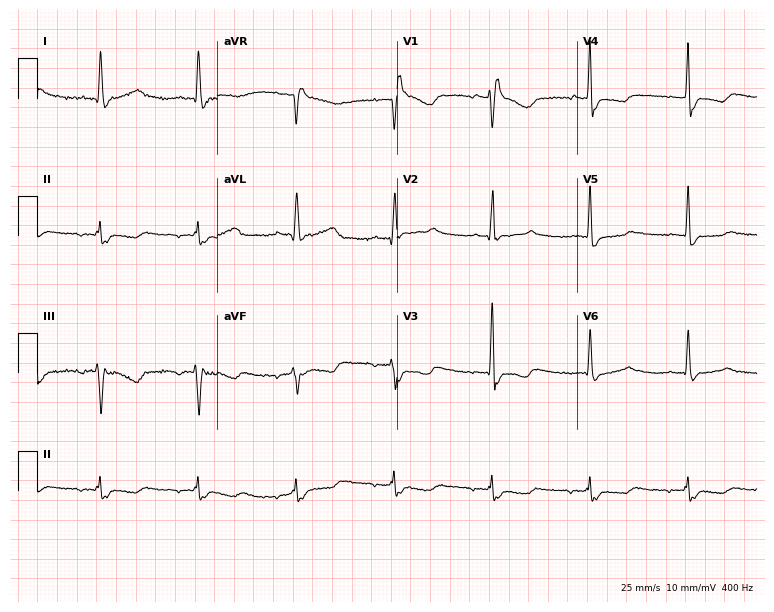
ECG — a male patient, 69 years old. Findings include right bundle branch block.